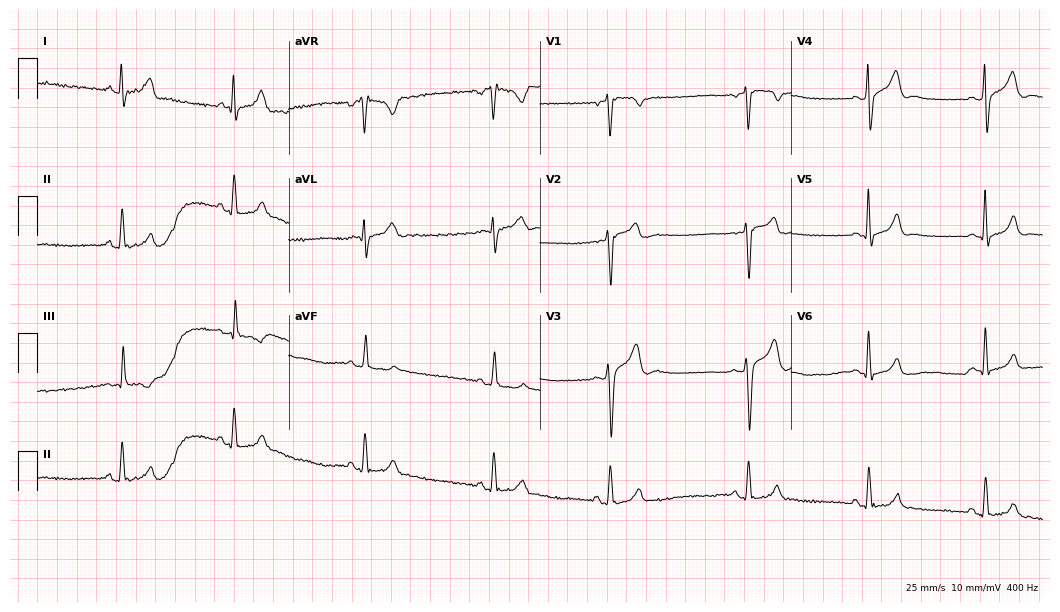
Electrocardiogram, a male, 24 years old. Interpretation includes sinus bradycardia (a sinus rate of 50 beats per minute or less).